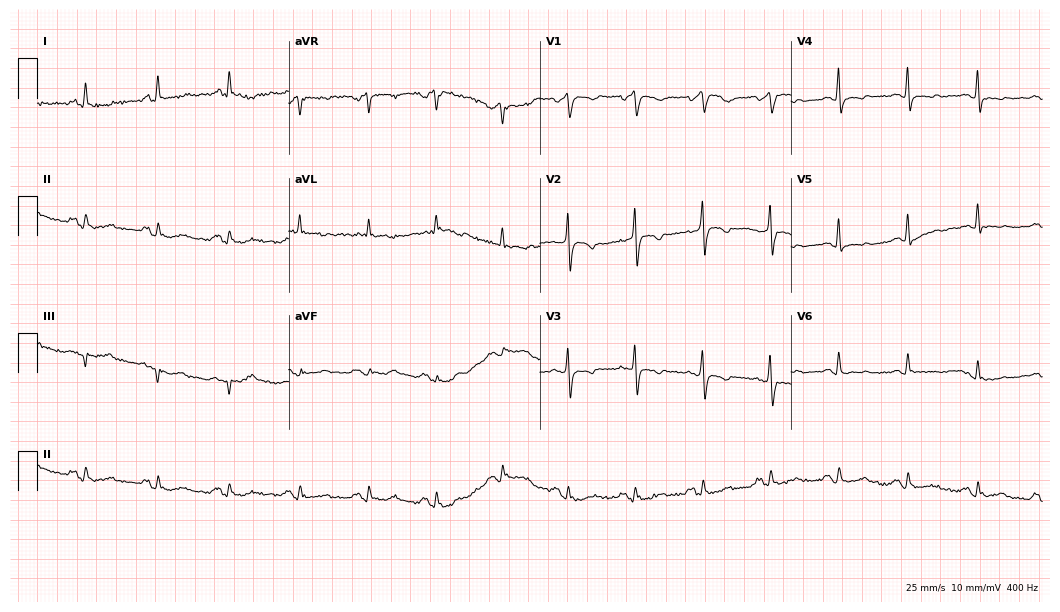
Electrocardiogram, a male patient, 79 years old. Of the six screened findings (first-degree AV block, right bundle branch block, left bundle branch block, sinus bradycardia, atrial fibrillation, sinus tachycardia), none is recorded. Other findings, if any, are not listed.